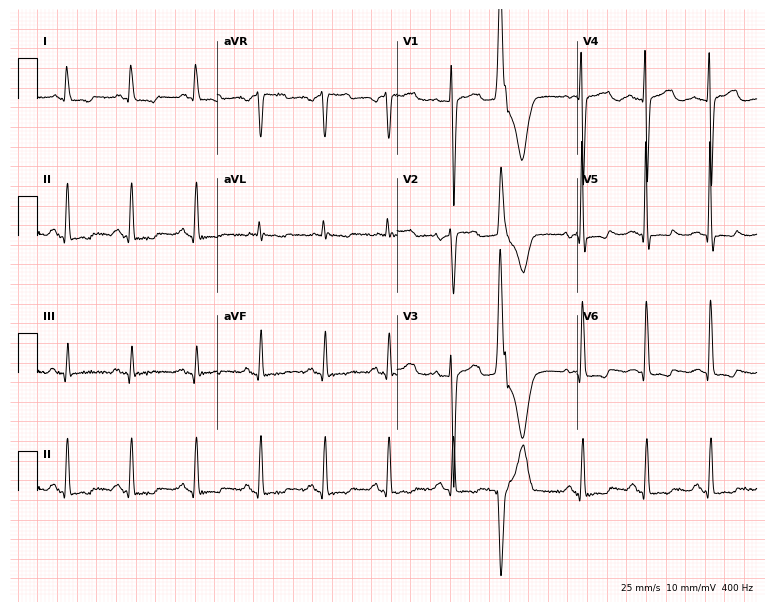
12-lead ECG from an 81-year-old female patient. Screened for six findings — first-degree AV block, right bundle branch block (RBBB), left bundle branch block (LBBB), sinus bradycardia, atrial fibrillation (AF), sinus tachycardia — none is recorded. Other findings, if any, are not listed.